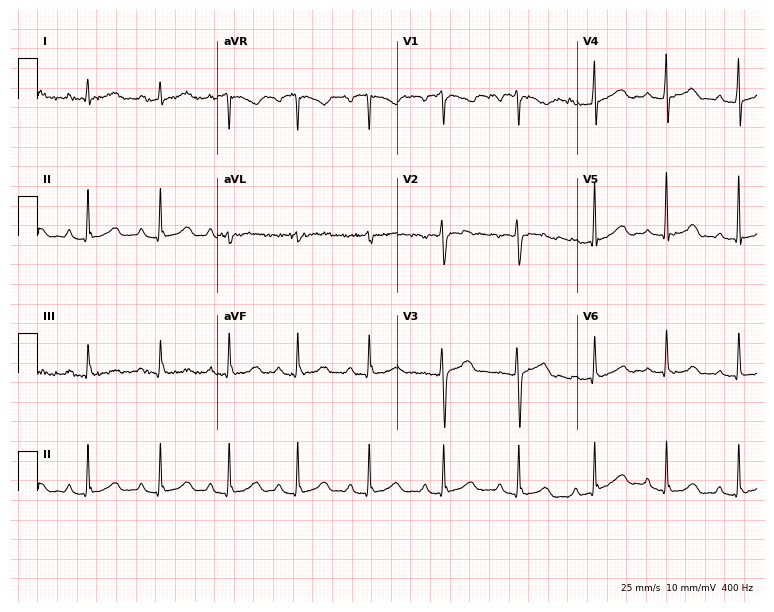
ECG (7.3-second recording at 400 Hz) — a woman, 46 years old. Labelled as a normal ECG.